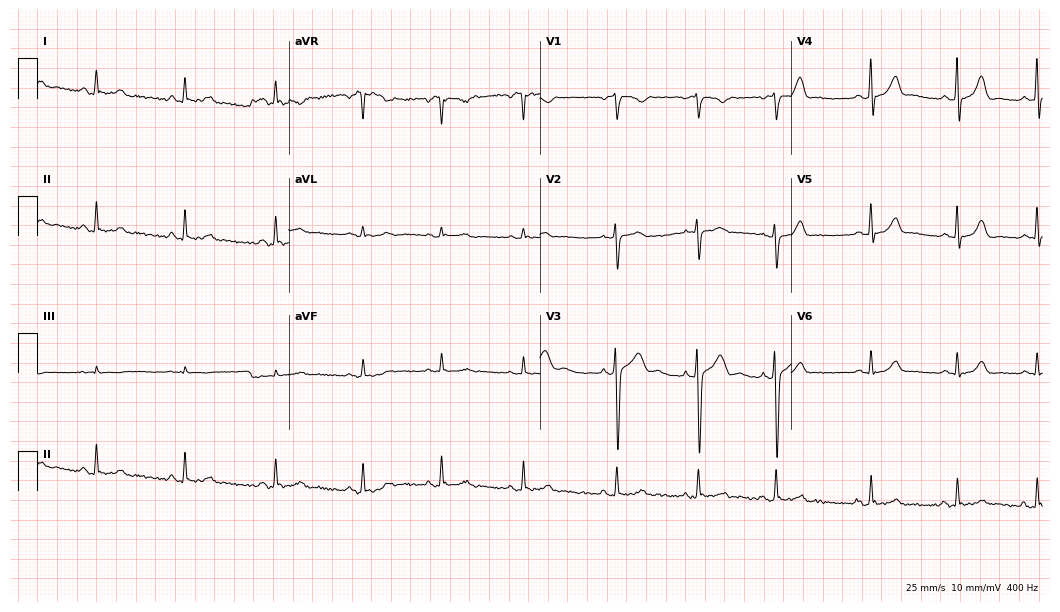
12-lead ECG from a woman, 26 years old. Recorded interpretation: within normal limits.